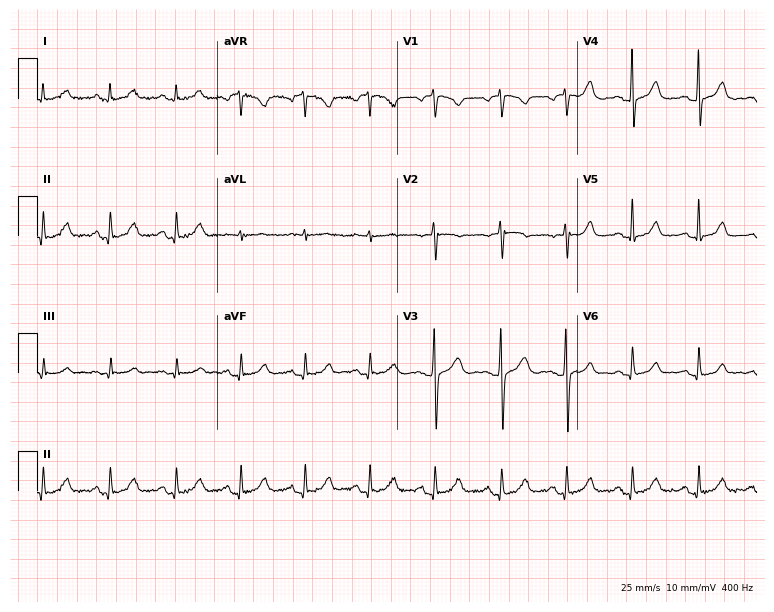
12-lead ECG from a female patient, 34 years old (7.3-second recording at 400 Hz). Recorded interpretation: within normal limits.